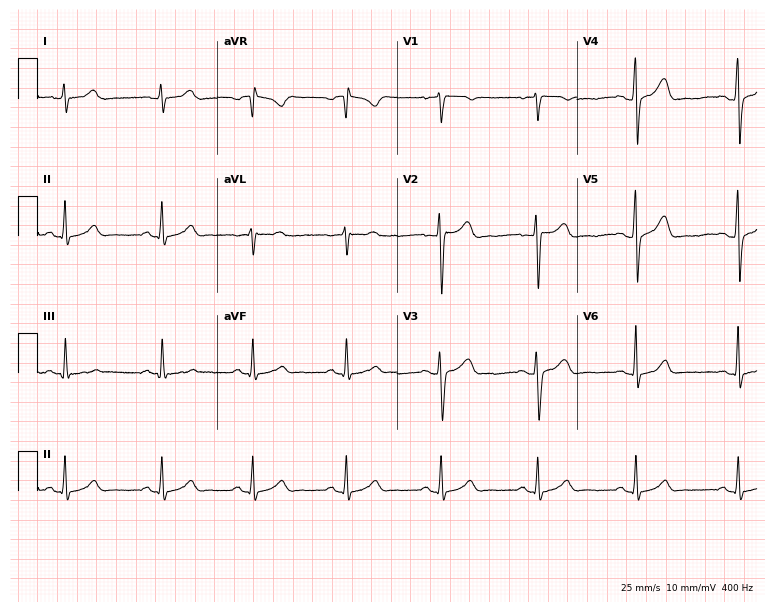
12-lead ECG from a 25-year-old male. Recorded interpretation: within normal limits.